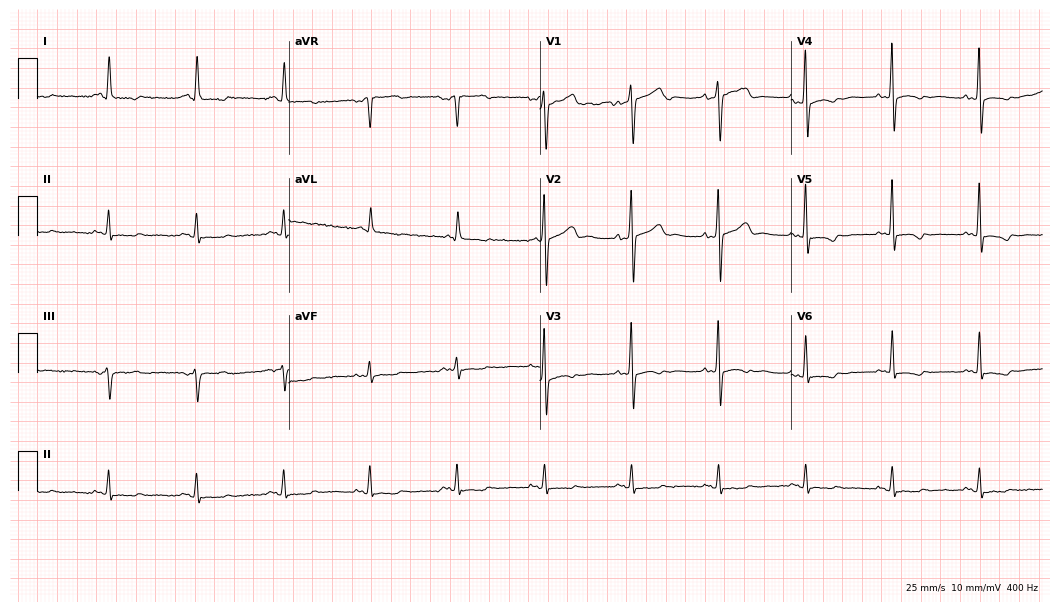
ECG — a male, 64 years old. Screened for six findings — first-degree AV block, right bundle branch block, left bundle branch block, sinus bradycardia, atrial fibrillation, sinus tachycardia — none is recorded.